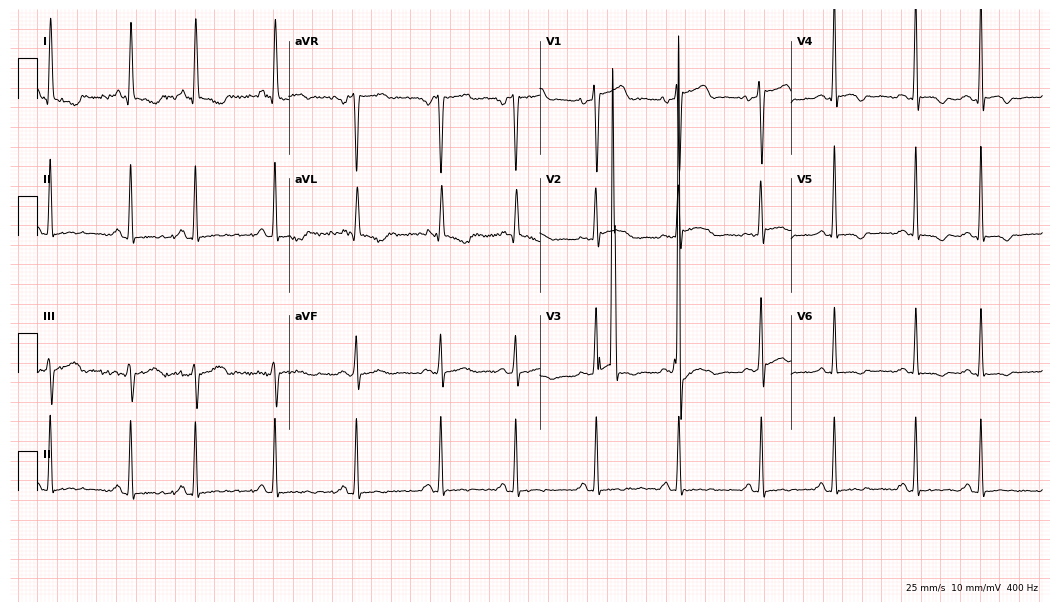
Standard 12-lead ECG recorded from a 61-year-old female (10.2-second recording at 400 Hz). None of these six findings is recorded: first-degree AV block, right bundle branch block (RBBB), left bundle branch block (LBBB), sinus bradycardia, atrial fibrillation (AF), sinus tachycardia. Only these six findings were labelled.